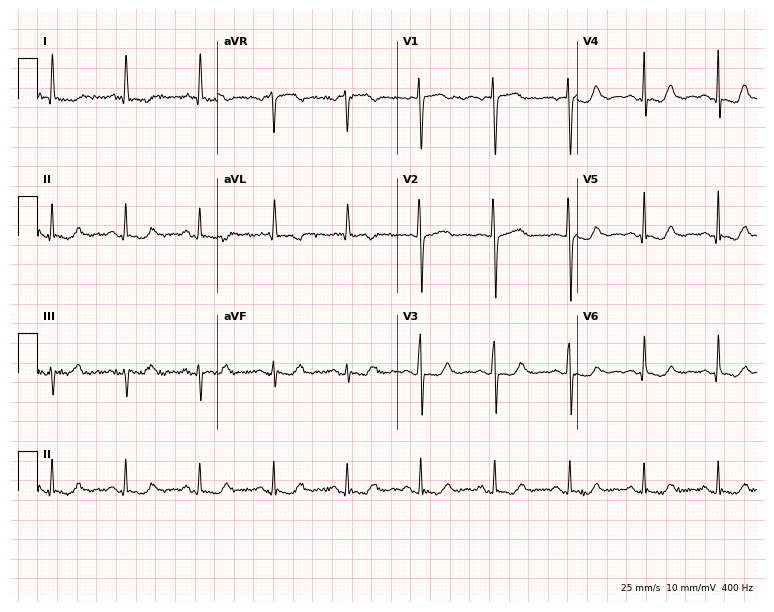
Electrocardiogram (7.3-second recording at 400 Hz), a female patient, 62 years old. Of the six screened findings (first-degree AV block, right bundle branch block (RBBB), left bundle branch block (LBBB), sinus bradycardia, atrial fibrillation (AF), sinus tachycardia), none is recorded. Only these six findings were labelled.